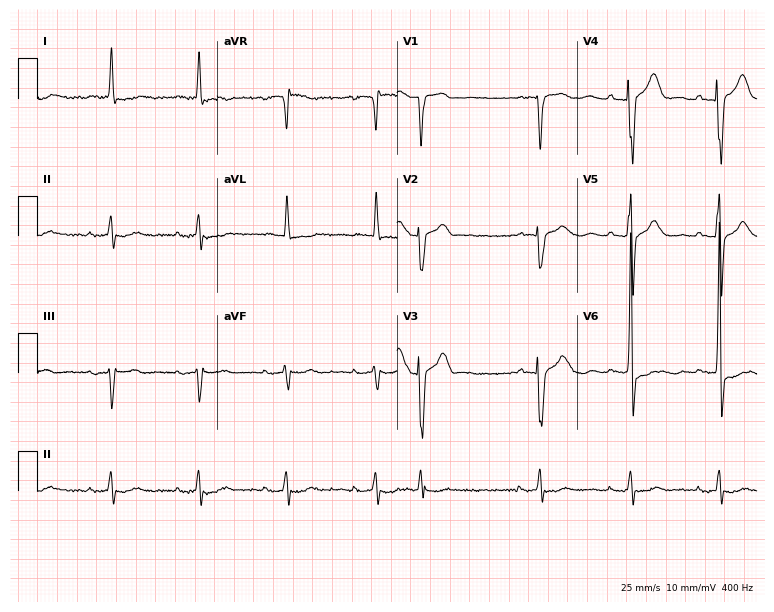
Resting 12-lead electrocardiogram (7.3-second recording at 400 Hz). Patient: an 83-year-old man. None of these six findings is recorded: first-degree AV block, right bundle branch block, left bundle branch block, sinus bradycardia, atrial fibrillation, sinus tachycardia.